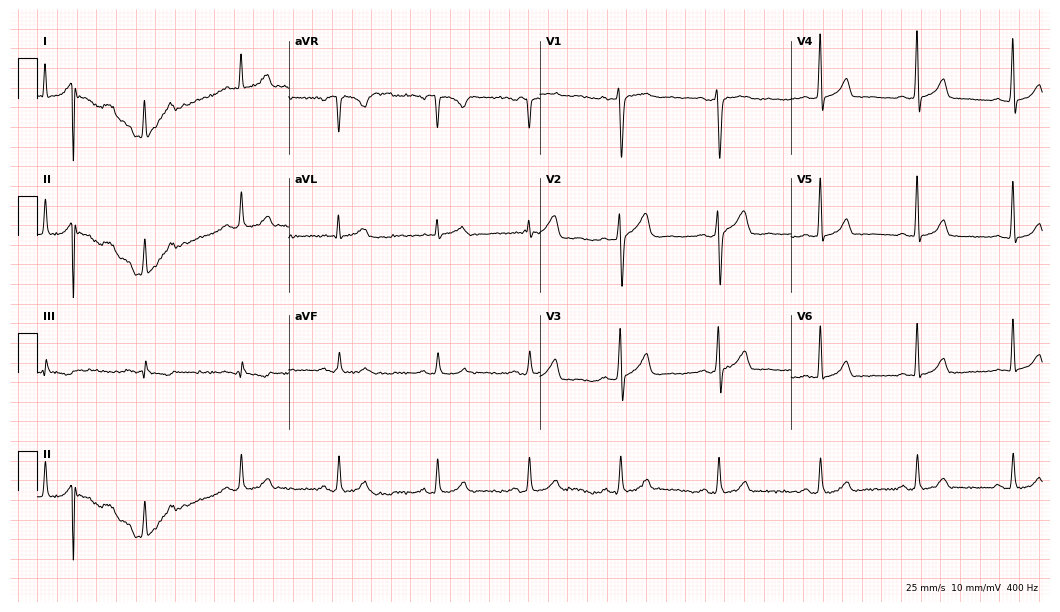
12-lead ECG (10.2-second recording at 400 Hz) from a male, 45 years old. Labelled as a normal ECG.